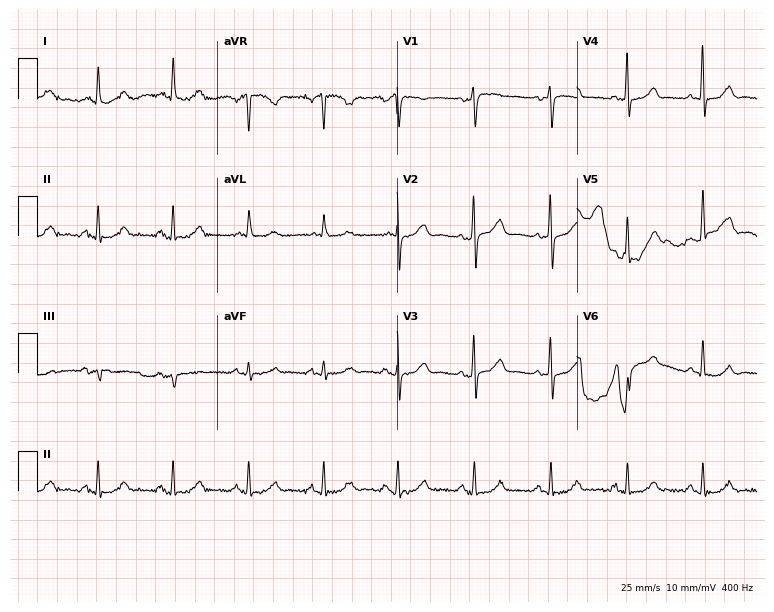
12-lead ECG from a 74-year-old woman. Labelled as a normal ECG.